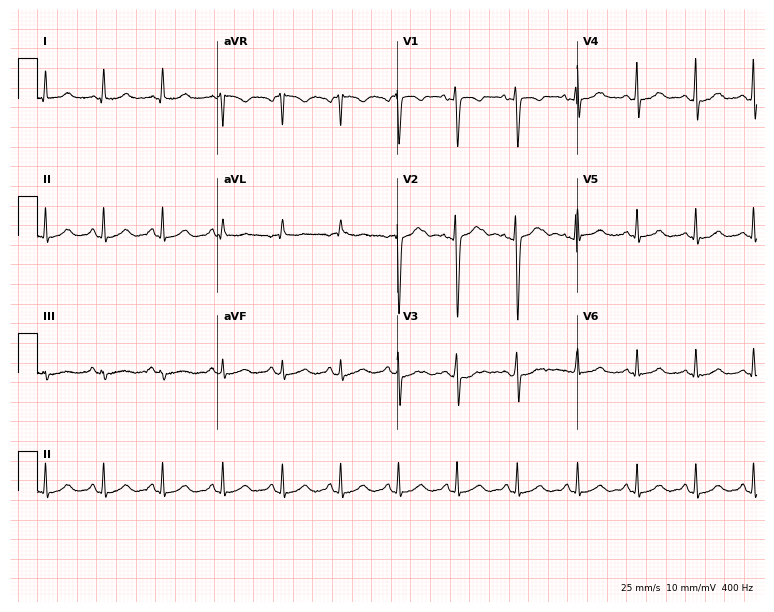
12-lead ECG (7.3-second recording at 400 Hz) from a female, 23 years old. Screened for six findings — first-degree AV block, right bundle branch block (RBBB), left bundle branch block (LBBB), sinus bradycardia, atrial fibrillation (AF), sinus tachycardia — none is recorded.